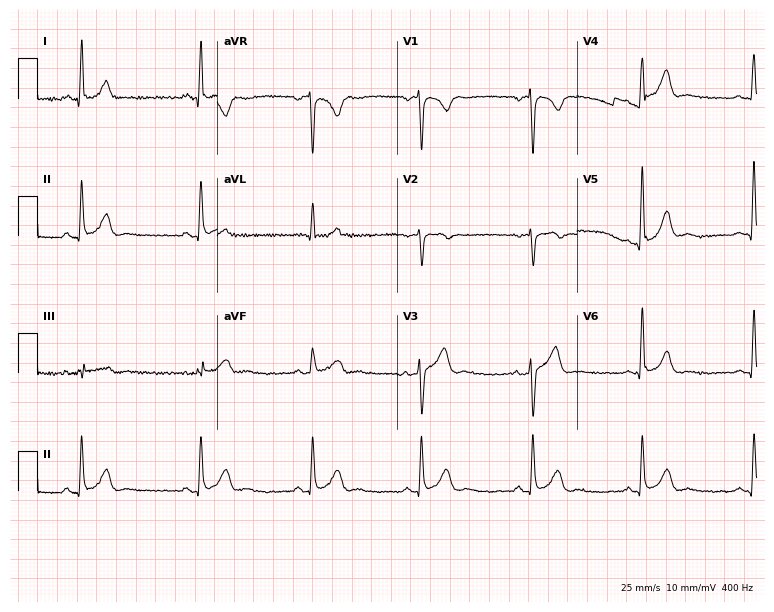
Standard 12-lead ECG recorded from a 50-year-old male (7.3-second recording at 400 Hz). None of these six findings is recorded: first-degree AV block, right bundle branch block, left bundle branch block, sinus bradycardia, atrial fibrillation, sinus tachycardia.